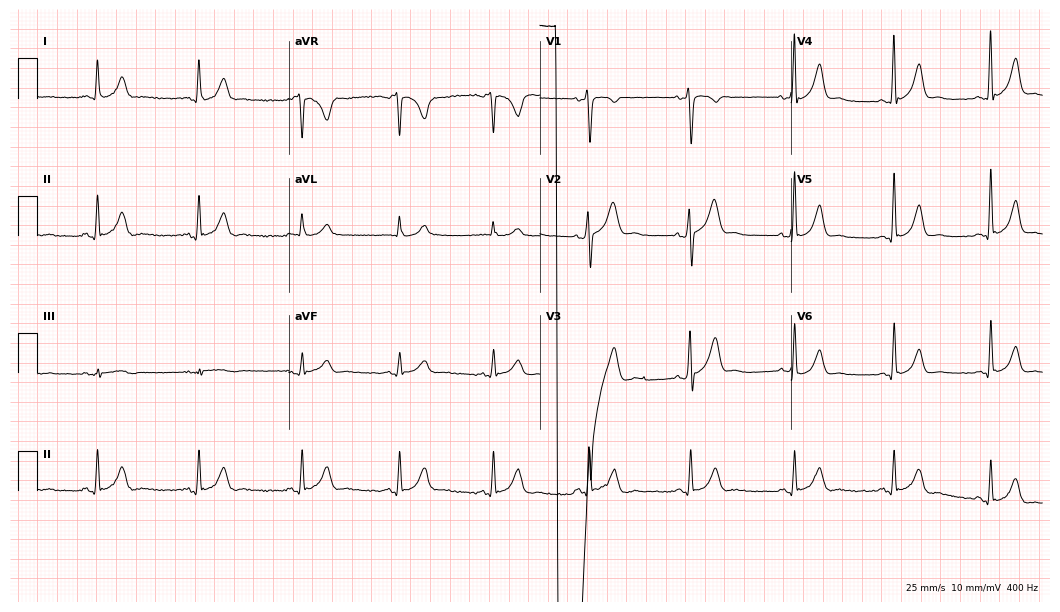
12-lead ECG from a 33-year-old male (10.2-second recording at 400 Hz). Recorded interpretation: within normal limits.